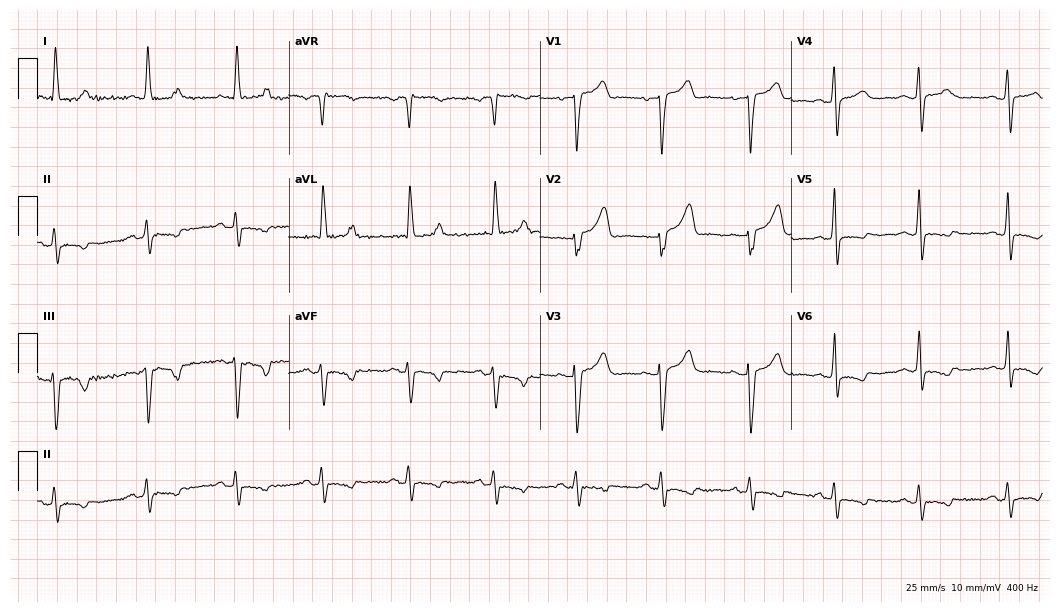
Resting 12-lead electrocardiogram. Patient: a 71-year-old woman. None of these six findings is recorded: first-degree AV block, right bundle branch block, left bundle branch block, sinus bradycardia, atrial fibrillation, sinus tachycardia.